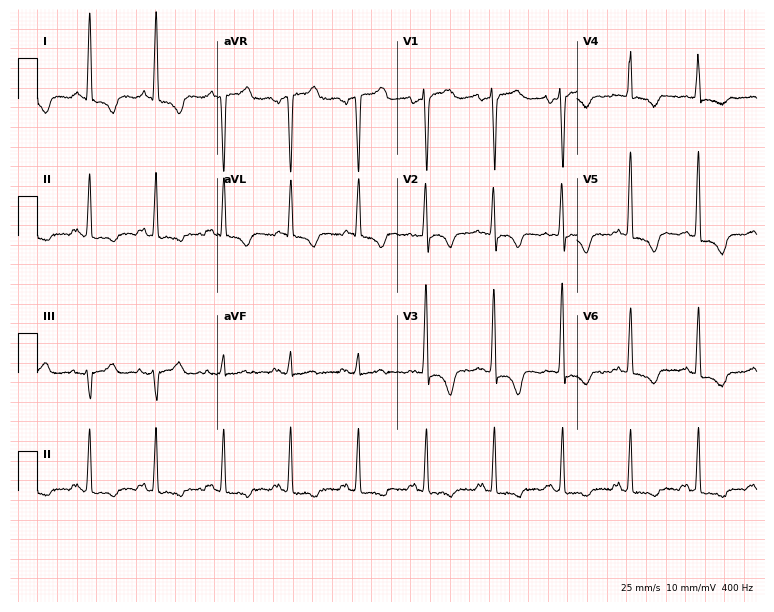
Standard 12-lead ECG recorded from a female patient, 76 years old (7.3-second recording at 400 Hz). None of these six findings is recorded: first-degree AV block, right bundle branch block (RBBB), left bundle branch block (LBBB), sinus bradycardia, atrial fibrillation (AF), sinus tachycardia.